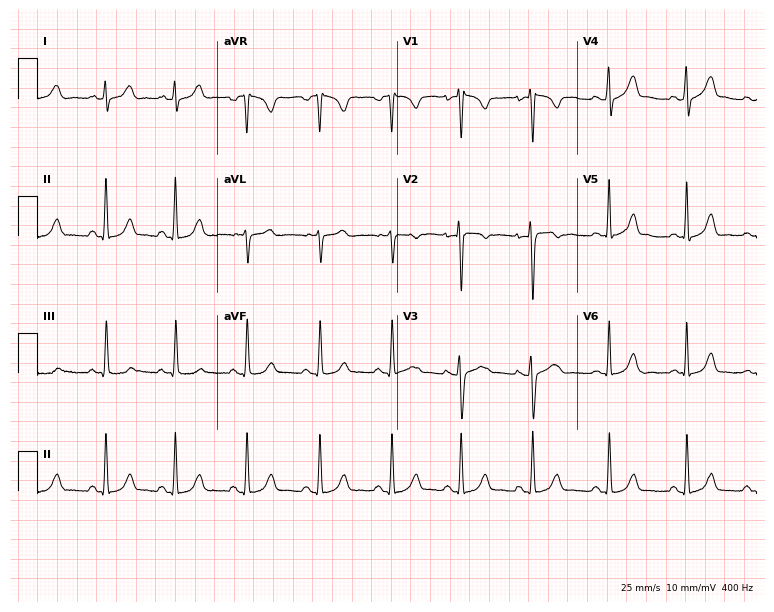
12-lead ECG from a 21-year-old female patient (7.3-second recording at 400 Hz). Recorded interpretation: within normal limits.